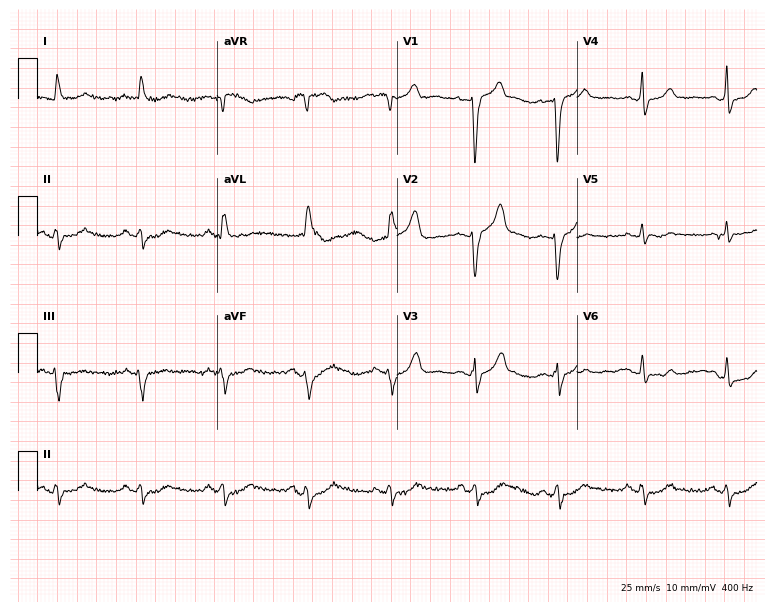
Standard 12-lead ECG recorded from a 79-year-old male. None of these six findings is recorded: first-degree AV block, right bundle branch block, left bundle branch block, sinus bradycardia, atrial fibrillation, sinus tachycardia.